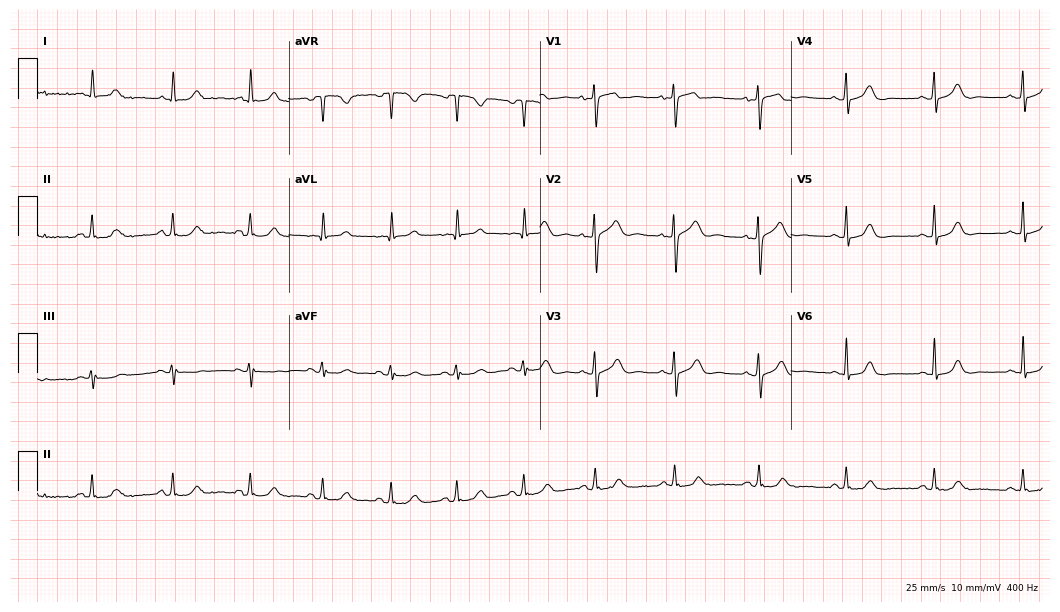
Electrocardiogram, a 46-year-old female. Overall reading on record: normal ECG.